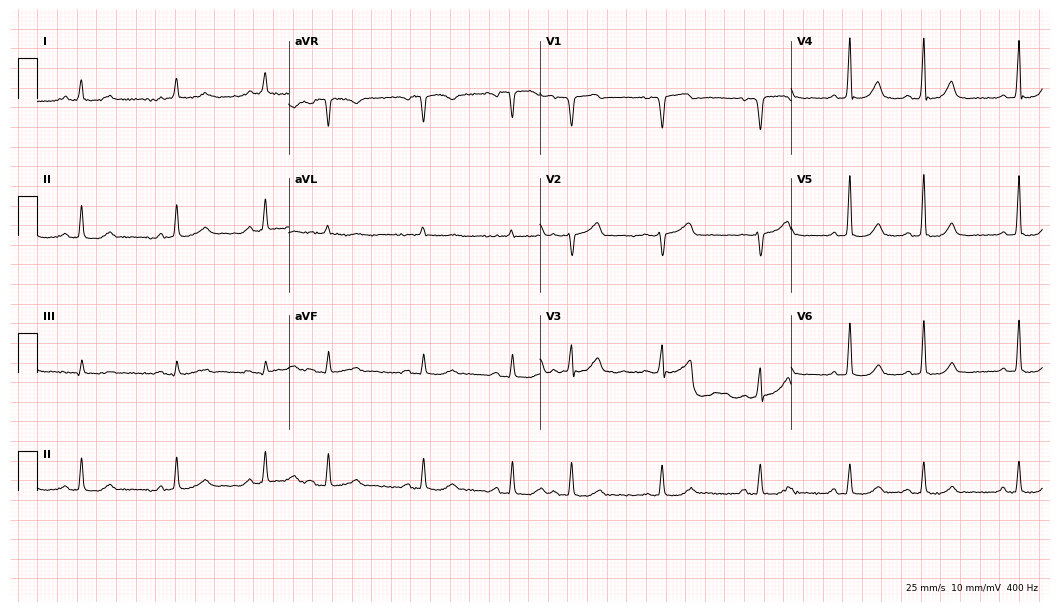
Electrocardiogram (10.2-second recording at 400 Hz), a 79-year-old male patient. Of the six screened findings (first-degree AV block, right bundle branch block (RBBB), left bundle branch block (LBBB), sinus bradycardia, atrial fibrillation (AF), sinus tachycardia), none is recorded.